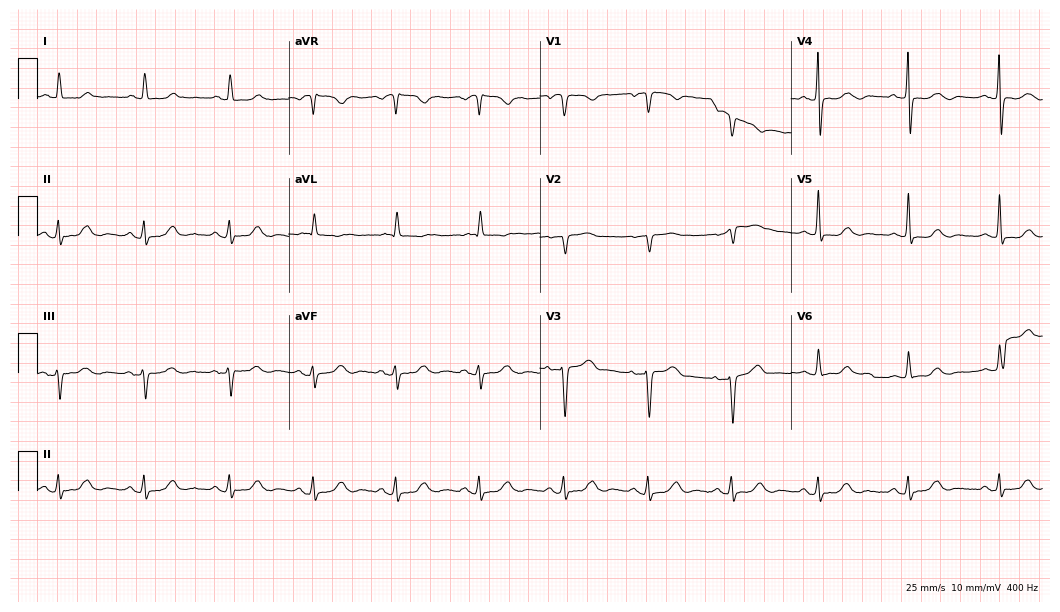
ECG (10.2-second recording at 400 Hz) — a female patient, 68 years old. Screened for six findings — first-degree AV block, right bundle branch block, left bundle branch block, sinus bradycardia, atrial fibrillation, sinus tachycardia — none is recorded.